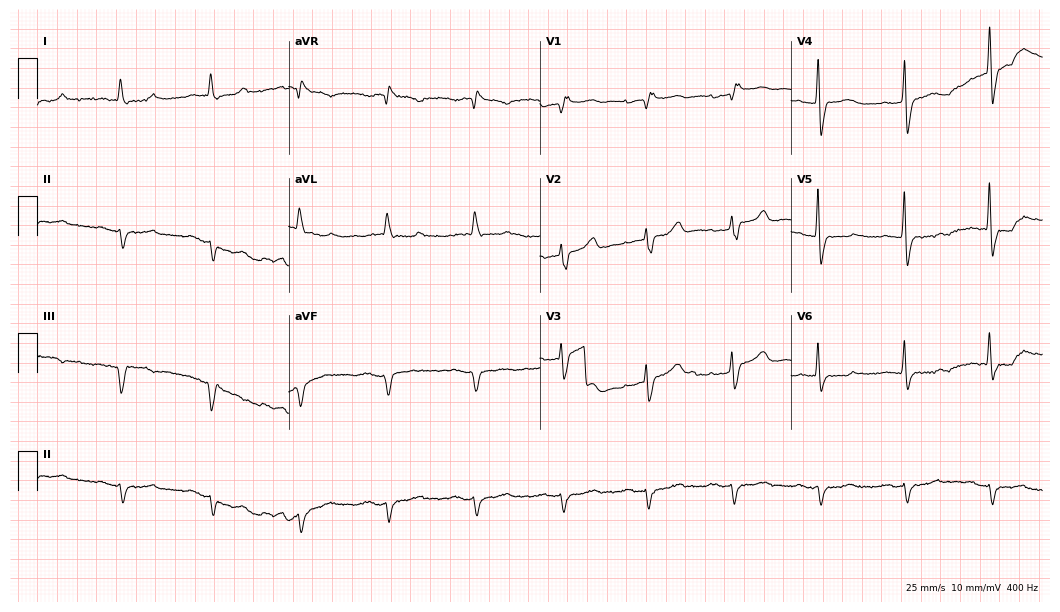
Resting 12-lead electrocardiogram (10.2-second recording at 400 Hz). Patient: an 81-year-old man. The tracing shows right bundle branch block.